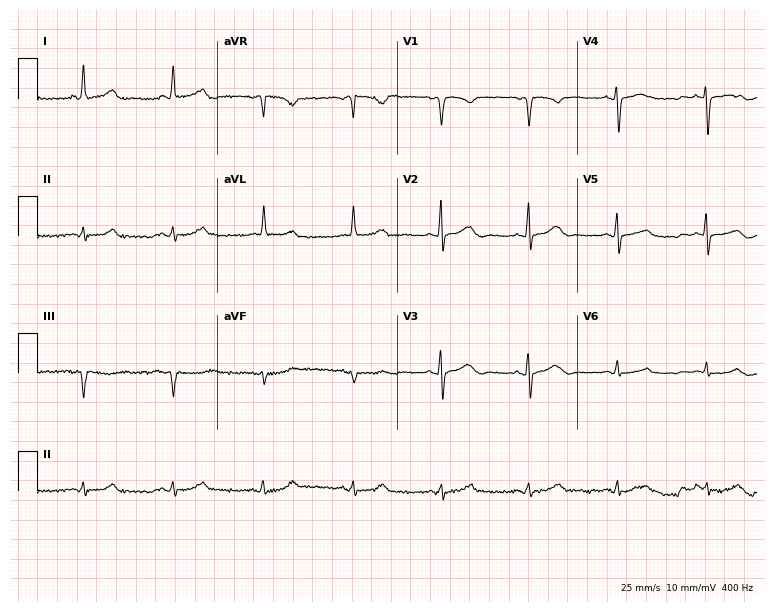
Electrocardiogram (7.3-second recording at 400 Hz), a 75-year-old female patient. Of the six screened findings (first-degree AV block, right bundle branch block (RBBB), left bundle branch block (LBBB), sinus bradycardia, atrial fibrillation (AF), sinus tachycardia), none is recorded.